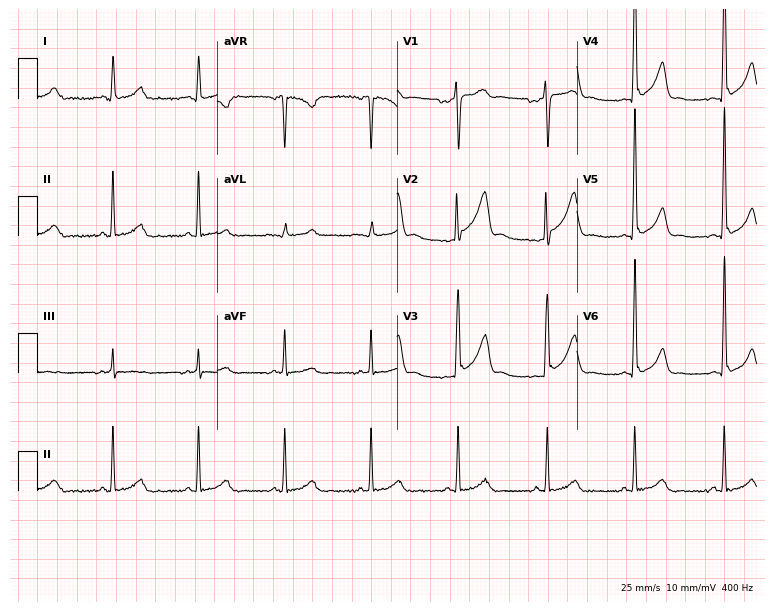
Standard 12-lead ECG recorded from a man, 40 years old (7.3-second recording at 400 Hz). Read as a normal ECG.